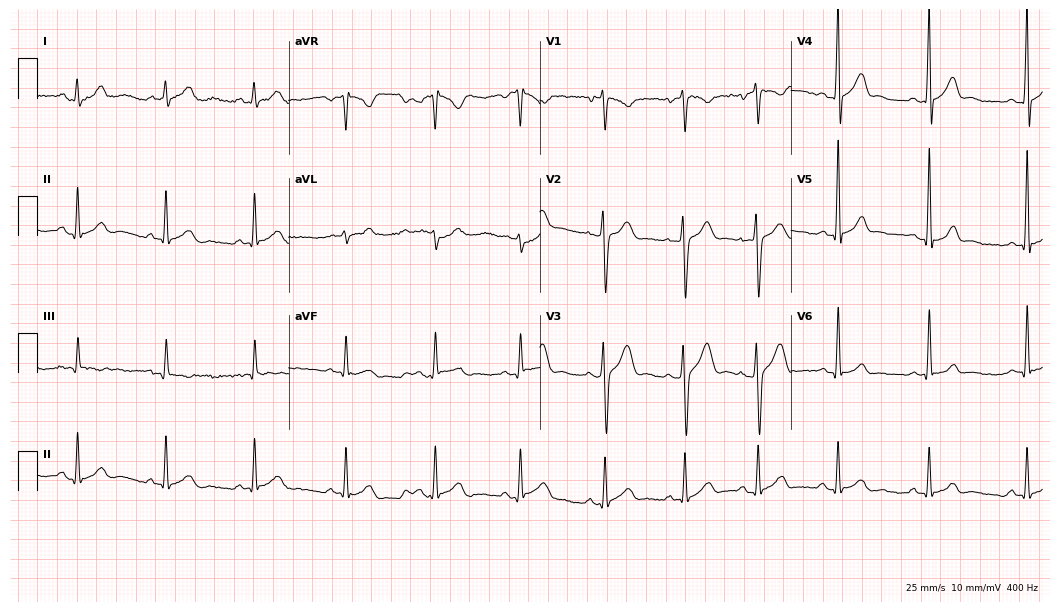
ECG (10.2-second recording at 400 Hz) — a male, 21 years old. Labelled as a normal ECG.